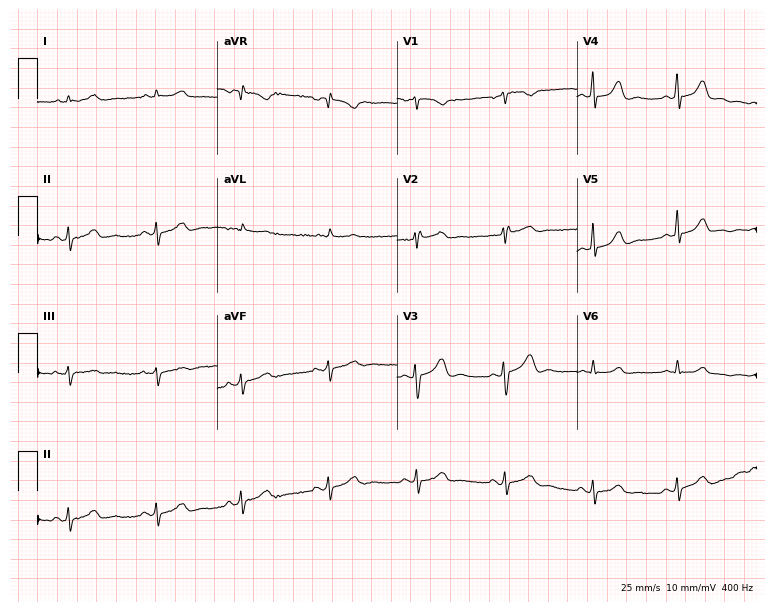
12-lead ECG from a female patient, 38 years old. Screened for six findings — first-degree AV block, right bundle branch block, left bundle branch block, sinus bradycardia, atrial fibrillation, sinus tachycardia — none is recorded. Other findings, if any, are not listed.